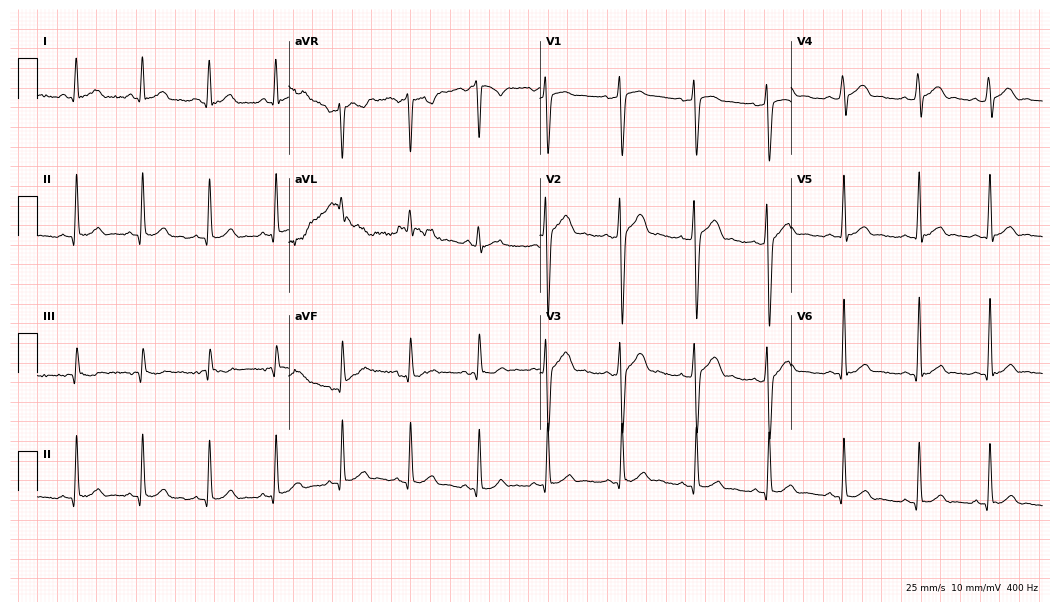
Electrocardiogram (10.2-second recording at 400 Hz), a man, 20 years old. Overall reading on record: normal ECG.